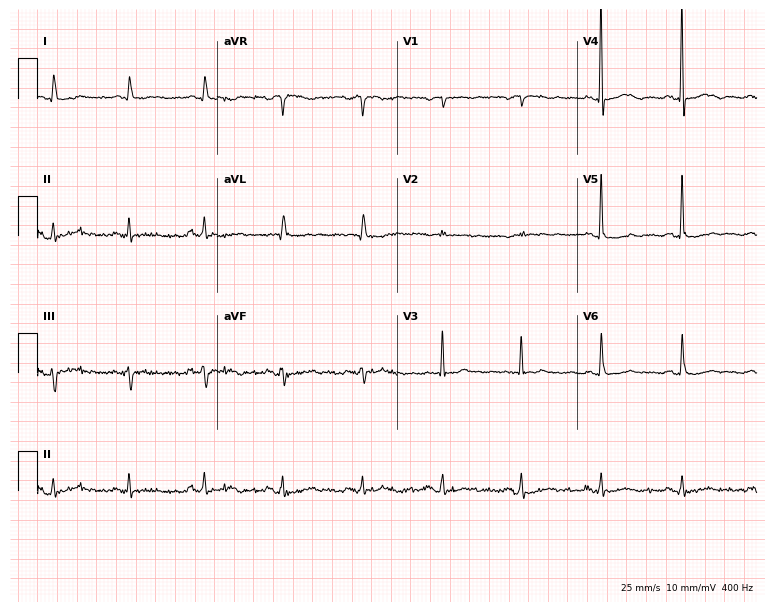
Standard 12-lead ECG recorded from a female patient, 79 years old (7.3-second recording at 400 Hz). None of these six findings is recorded: first-degree AV block, right bundle branch block (RBBB), left bundle branch block (LBBB), sinus bradycardia, atrial fibrillation (AF), sinus tachycardia.